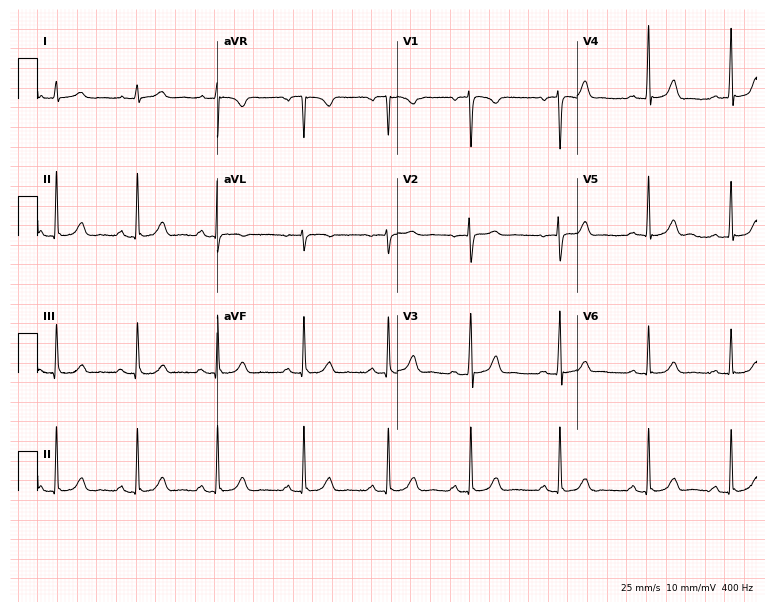
12-lead ECG (7.3-second recording at 400 Hz) from a 34-year-old female patient. Labelled as a normal ECG.